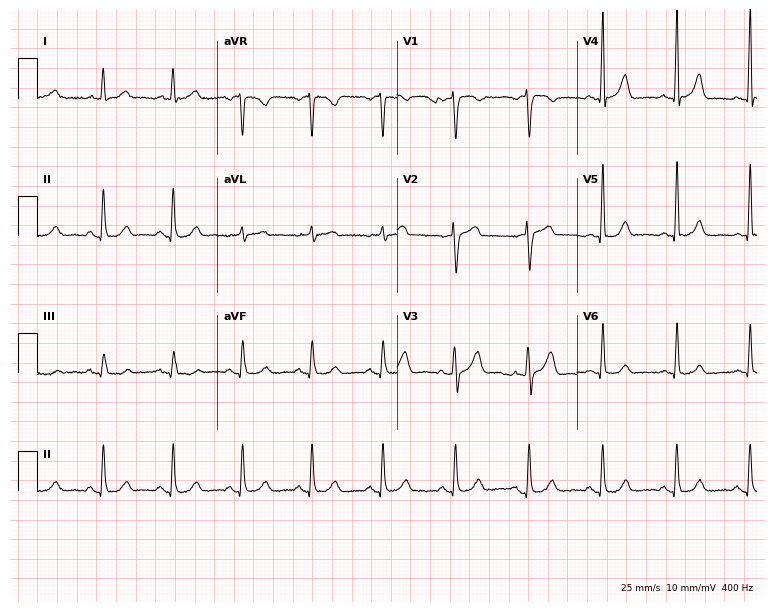
12-lead ECG (7.3-second recording at 400 Hz) from a male, 69 years old. Labelled as a normal ECG.